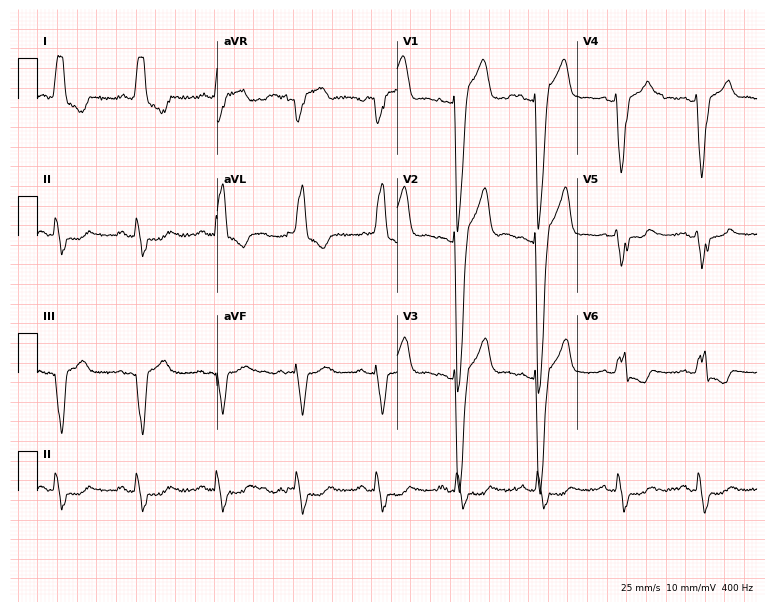
Electrocardiogram, a 58-year-old man. Interpretation includes left bundle branch block (LBBB).